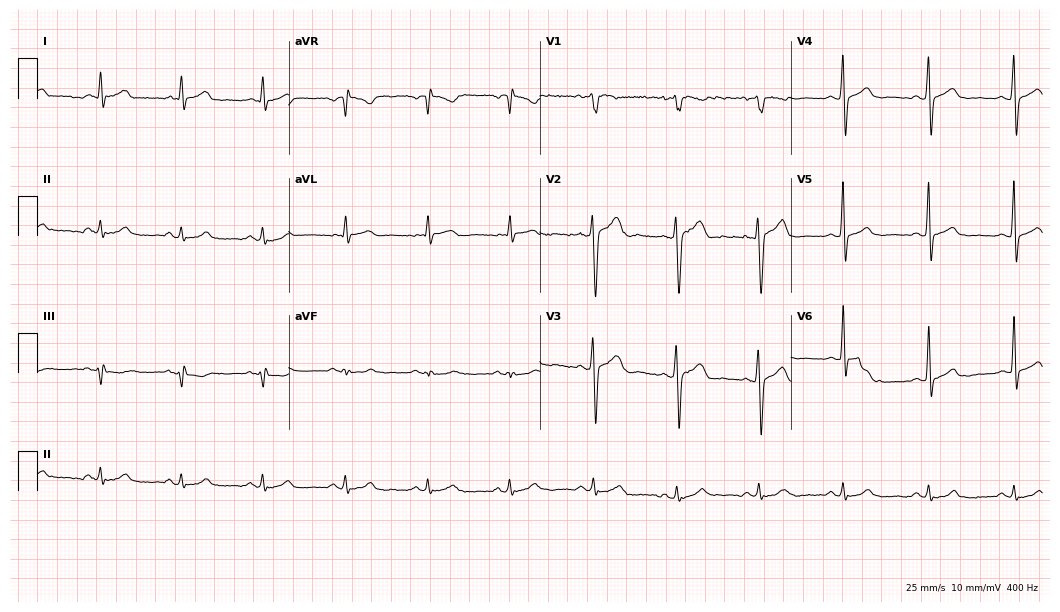
Standard 12-lead ECG recorded from a man, 42 years old (10.2-second recording at 400 Hz). None of these six findings is recorded: first-degree AV block, right bundle branch block, left bundle branch block, sinus bradycardia, atrial fibrillation, sinus tachycardia.